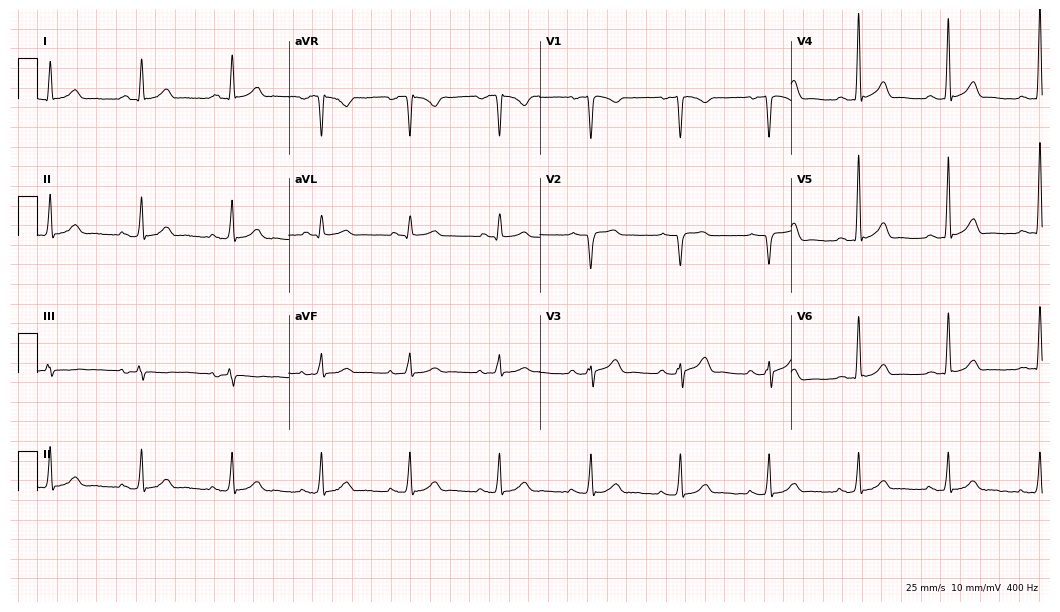
Standard 12-lead ECG recorded from a 57-year-old man. None of these six findings is recorded: first-degree AV block, right bundle branch block, left bundle branch block, sinus bradycardia, atrial fibrillation, sinus tachycardia. Other findings, if any, are not listed.